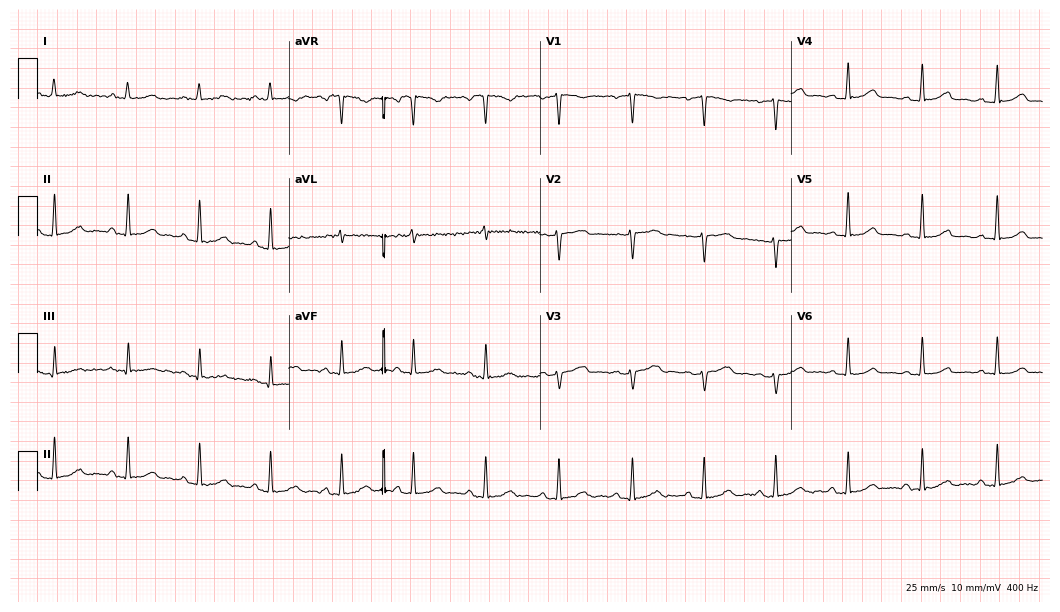
12-lead ECG (10.2-second recording at 400 Hz) from a female patient, 42 years old. Labelled as a normal ECG.